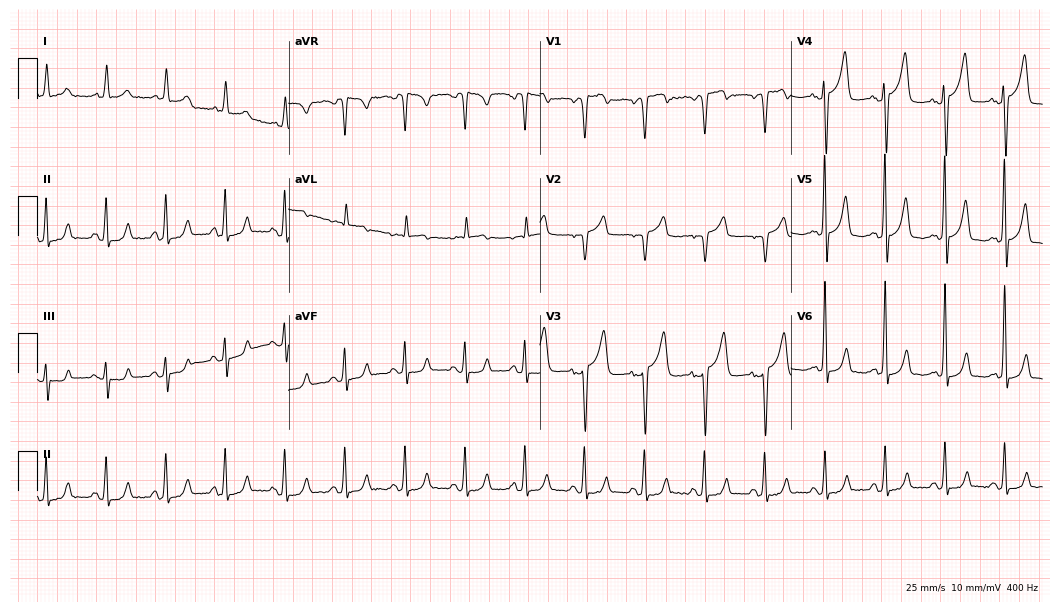
Electrocardiogram, a 70-year-old female patient. Of the six screened findings (first-degree AV block, right bundle branch block, left bundle branch block, sinus bradycardia, atrial fibrillation, sinus tachycardia), none is recorded. Other findings, if any, are not listed.